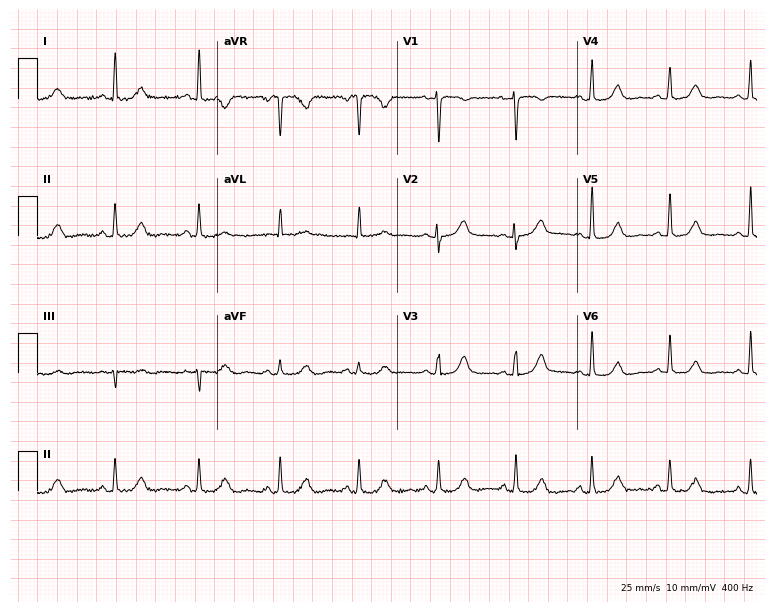
12-lead ECG (7.3-second recording at 400 Hz) from a male patient, 67 years old. Labelled as a normal ECG.